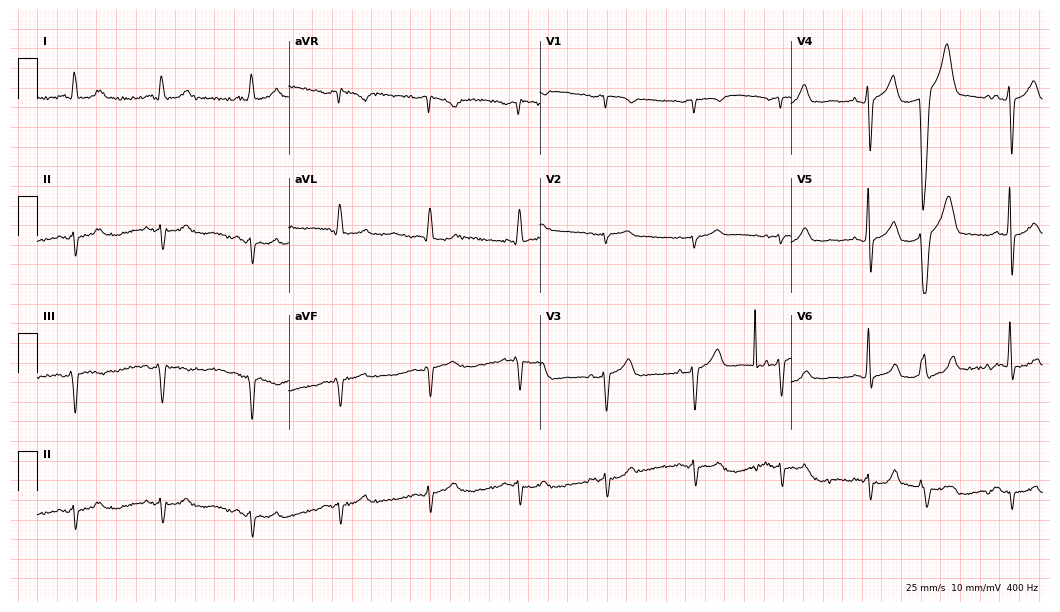
12-lead ECG from a man, 84 years old. No first-degree AV block, right bundle branch block (RBBB), left bundle branch block (LBBB), sinus bradycardia, atrial fibrillation (AF) or sinus tachycardia recorded for this tracing.